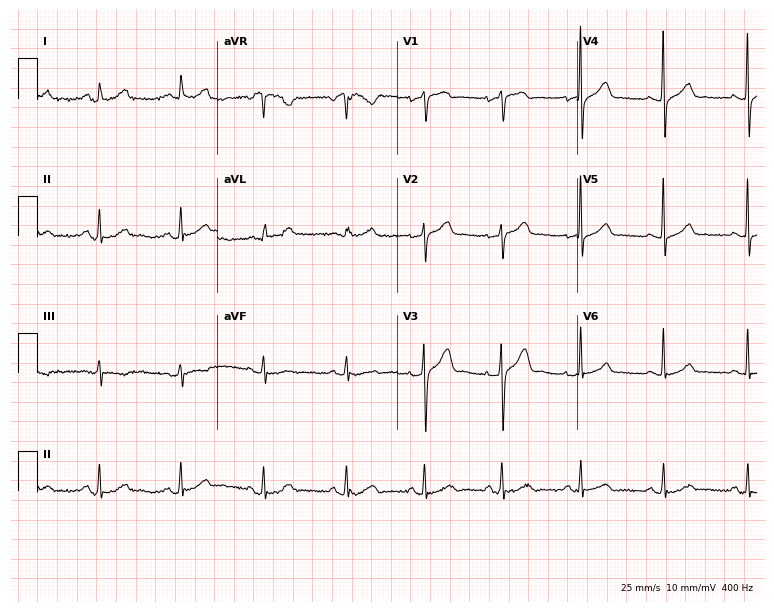
ECG — a female patient, 56 years old. Labelled as a normal ECG.